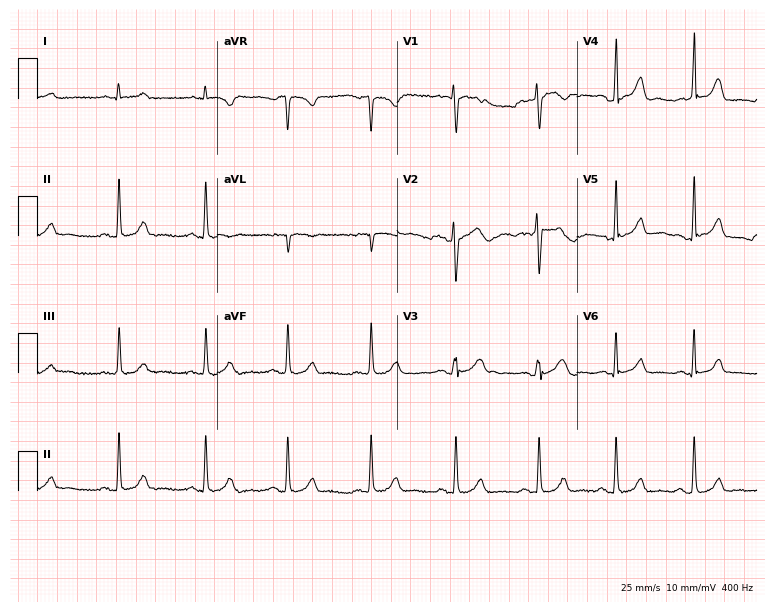
Standard 12-lead ECG recorded from a female patient, 27 years old (7.3-second recording at 400 Hz). Read as a normal ECG.